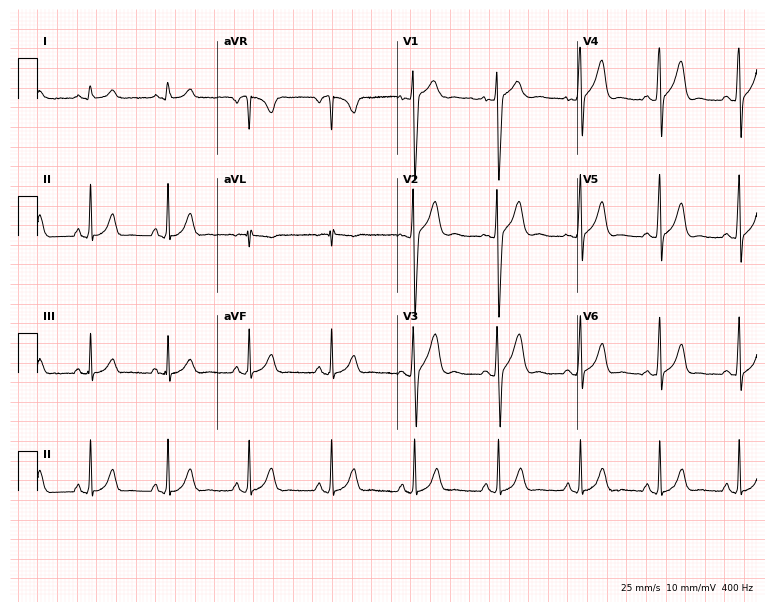
12-lead ECG from a male patient, 20 years old. Screened for six findings — first-degree AV block, right bundle branch block, left bundle branch block, sinus bradycardia, atrial fibrillation, sinus tachycardia — none is recorded. Findings outside these six are not listed.